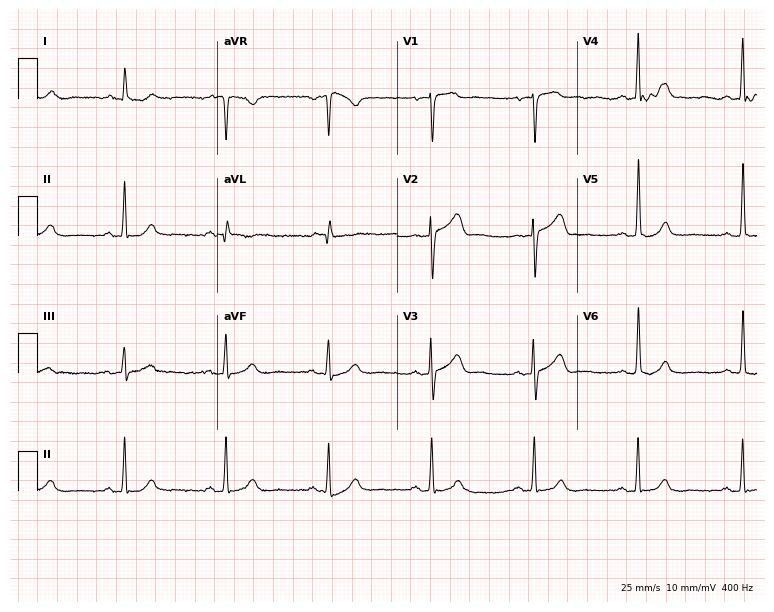
12-lead ECG from an 87-year-old man (7.3-second recording at 400 Hz). Recorded interpretation: within normal limits.